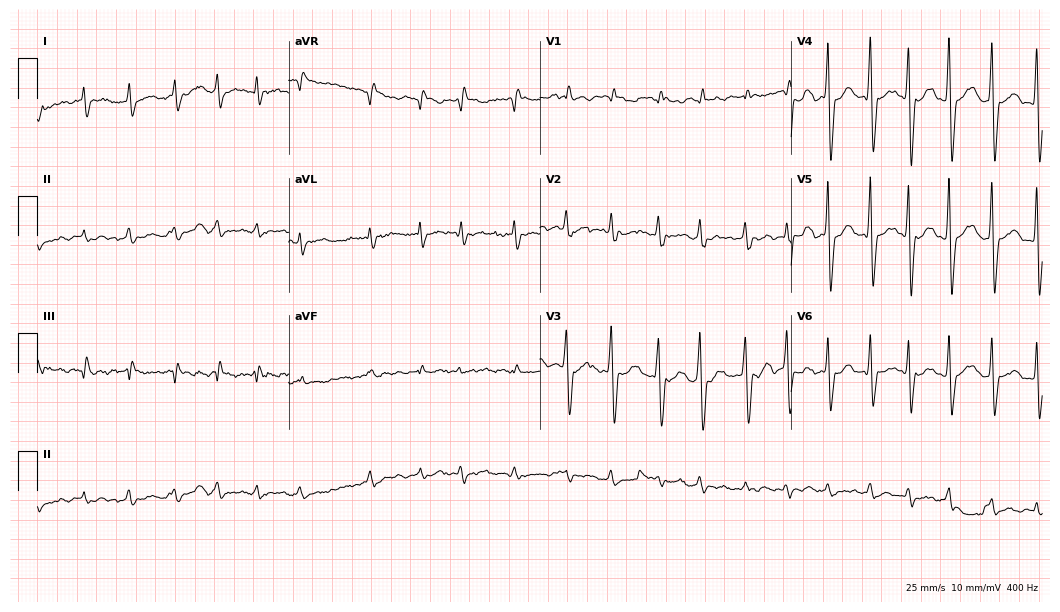
Resting 12-lead electrocardiogram (10.2-second recording at 400 Hz). Patient: a male, 69 years old. The tracing shows atrial fibrillation (AF).